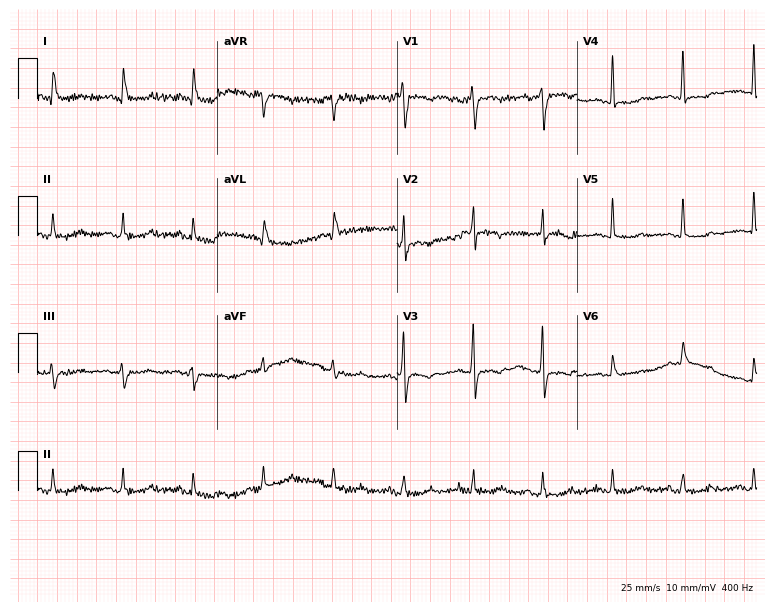
Electrocardiogram, a female patient, 79 years old. Of the six screened findings (first-degree AV block, right bundle branch block, left bundle branch block, sinus bradycardia, atrial fibrillation, sinus tachycardia), none is recorded.